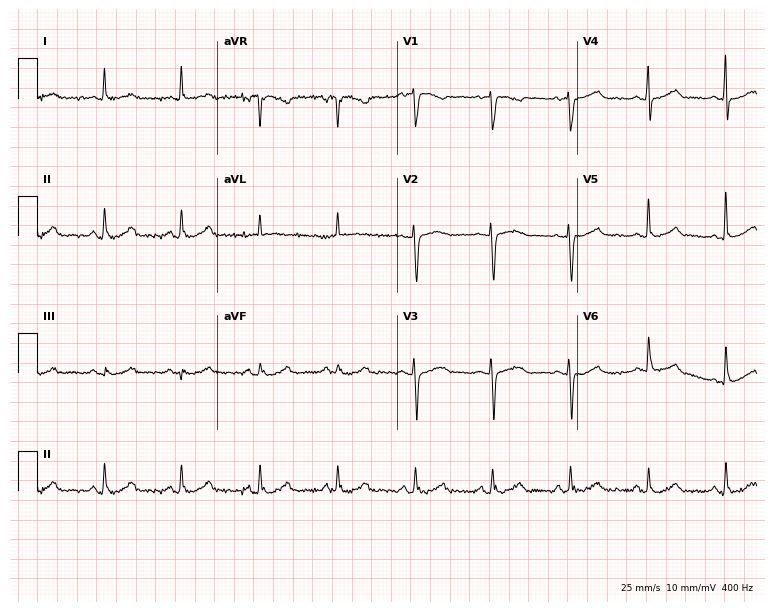
12-lead ECG from a 64-year-old woman. Screened for six findings — first-degree AV block, right bundle branch block, left bundle branch block, sinus bradycardia, atrial fibrillation, sinus tachycardia — none is recorded.